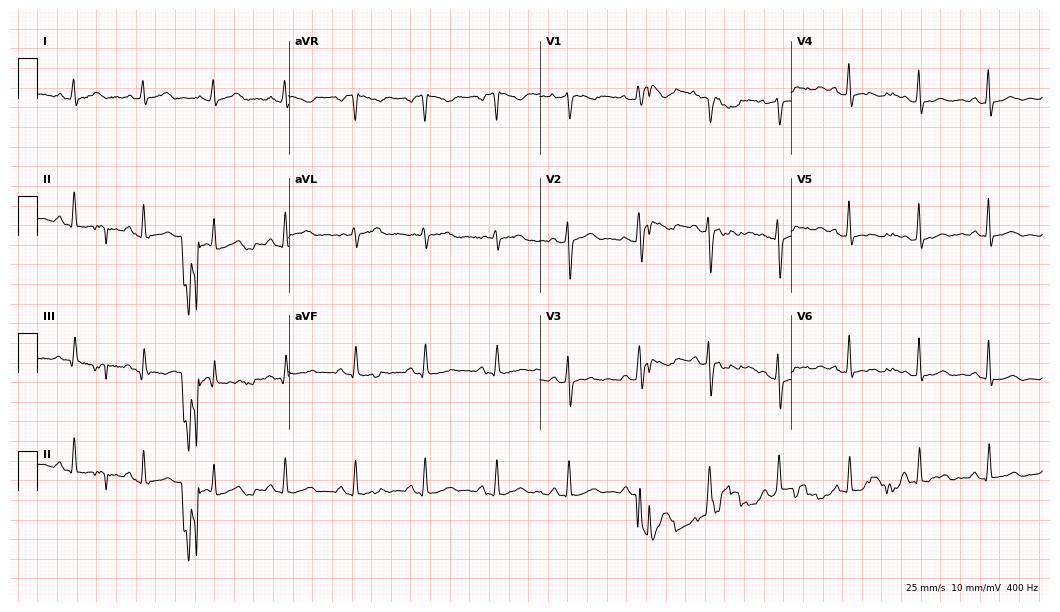
12-lead ECG from a 40-year-old female. Screened for six findings — first-degree AV block, right bundle branch block, left bundle branch block, sinus bradycardia, atrial fibrillation, sinus tachycardia — none is recorded. Findings outside these six are not listed.